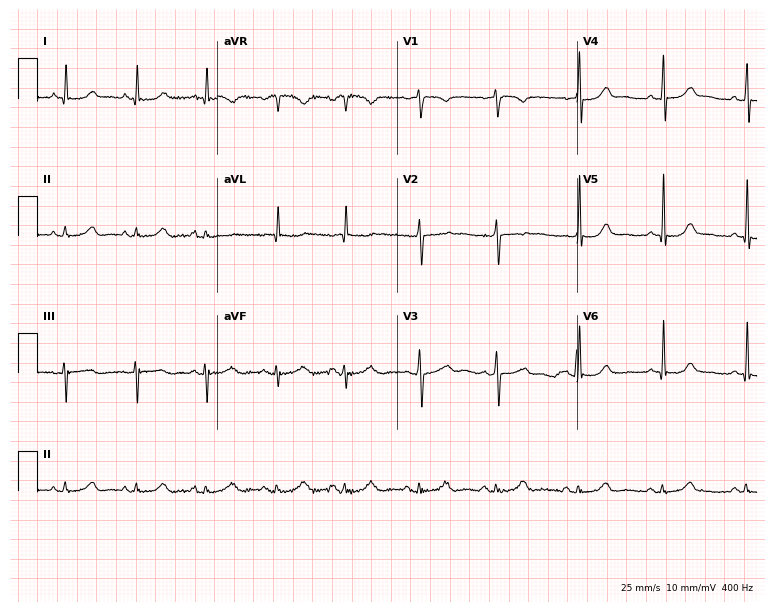
Electrocardiogram (7.3-second recording at 400 Hz), a woman, 42 years old. Of the six screened findings (first-degree AV block, right bundle branch block, left bundle branch block, sinus bradycardia, atrial fibrillation, sinus tachycardia), none is recorded.